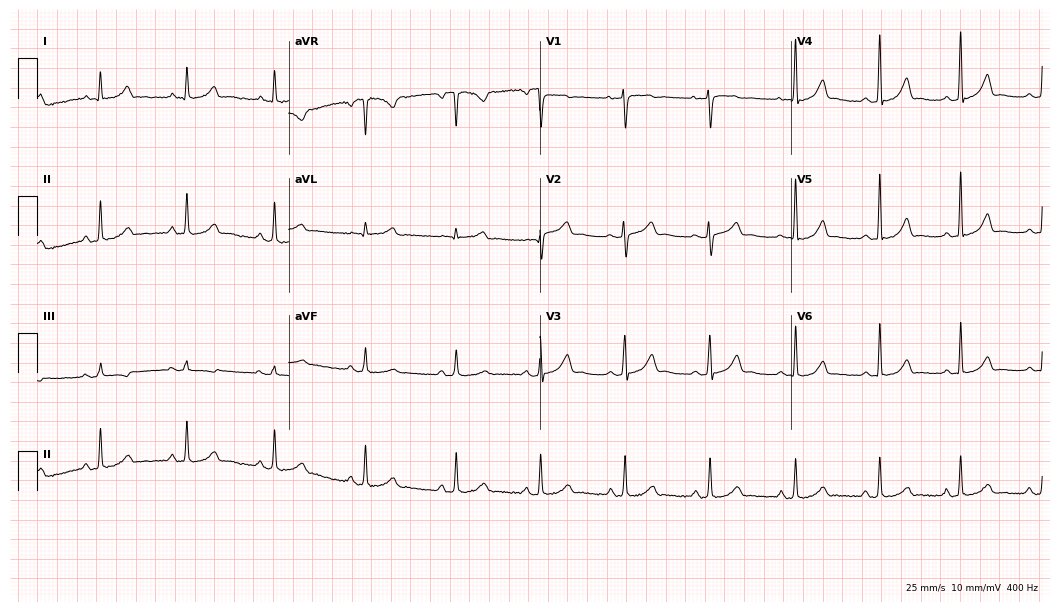
Resting 12-lead electrocardiogram (10.2-second recording at 400 Hz). Patient: a woman, 35 years old. Read as a normal ECG.